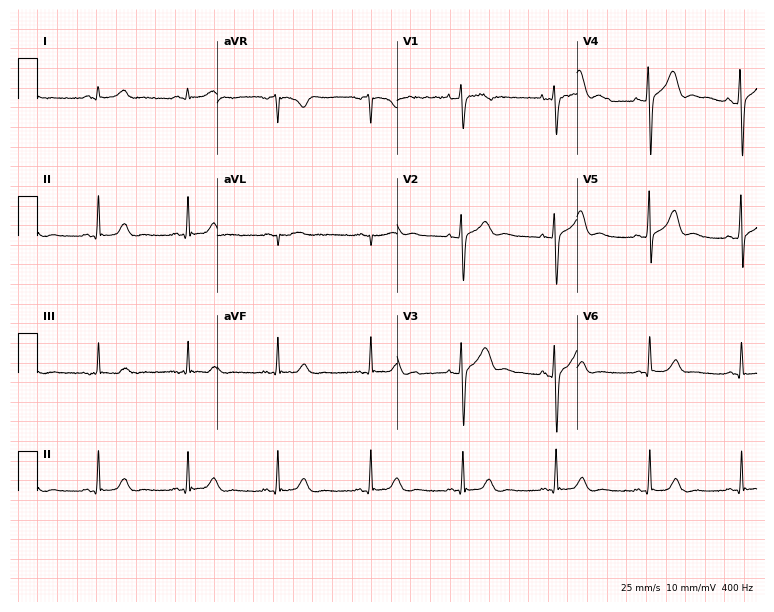
12-lead ECG from a 46-year-old male (7.3-second recording at 400 Hz). Recorded interpretation: within normal limits.